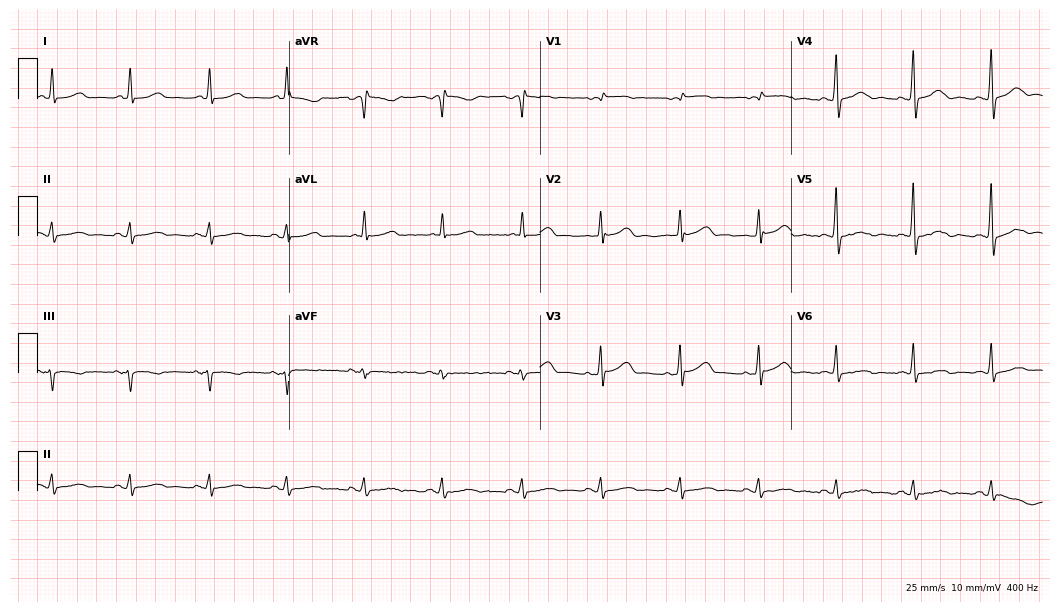
ECG — a female patient, 60 years old. Screened for six findings — first-degree AV block, right bundle branch block (RBBB), left bundle branch block (LBBB), sinus bradycardia, atrial fibrillation (AF), sinus tachycardia — none is recorded. Other findings, if any, are not listed.